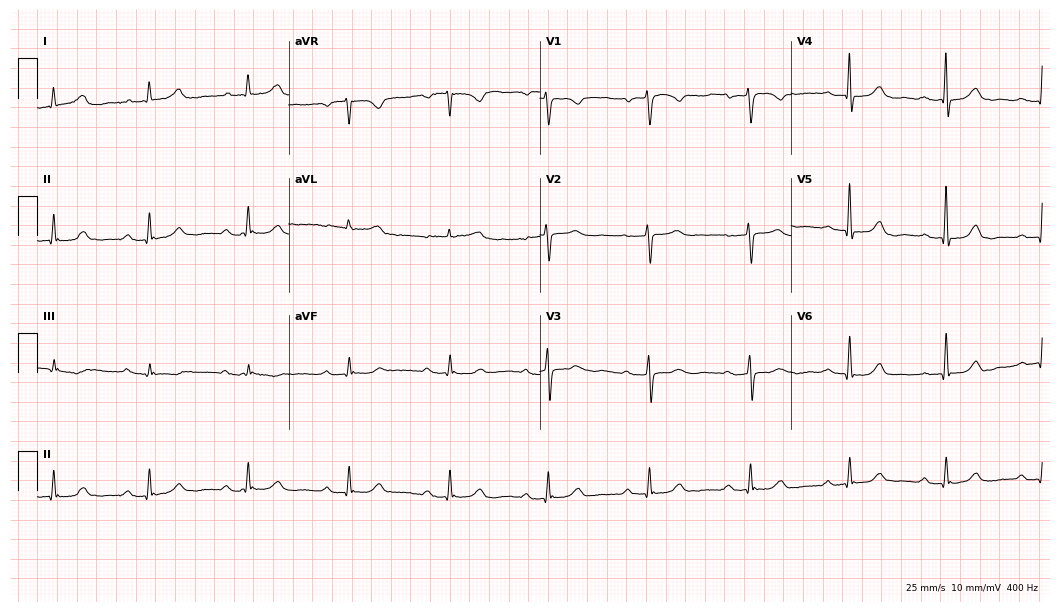
Standard 12-lead ECG recorded from a 59-year-old woman (10.2-second recording at 400 Hz). Read as a normal ECG.